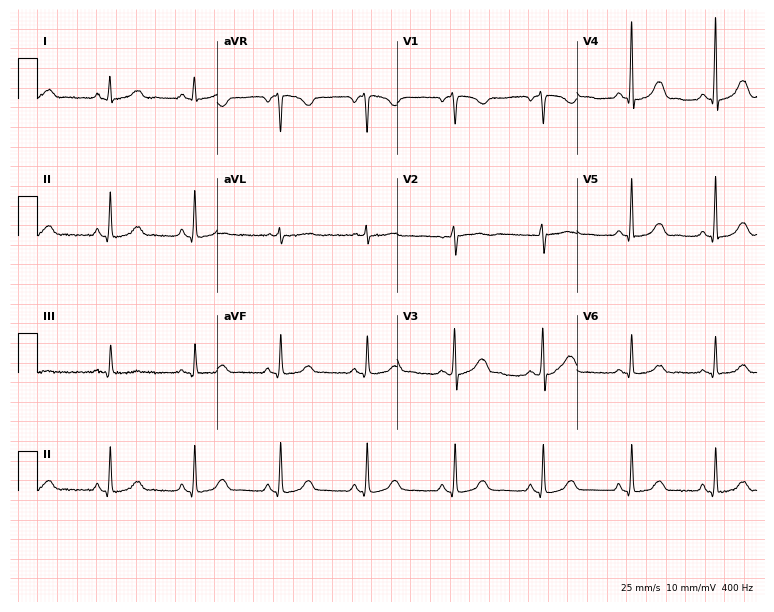
12-lead ECG from a woman, 45 years old. Recorded interpretation: within normal limits.